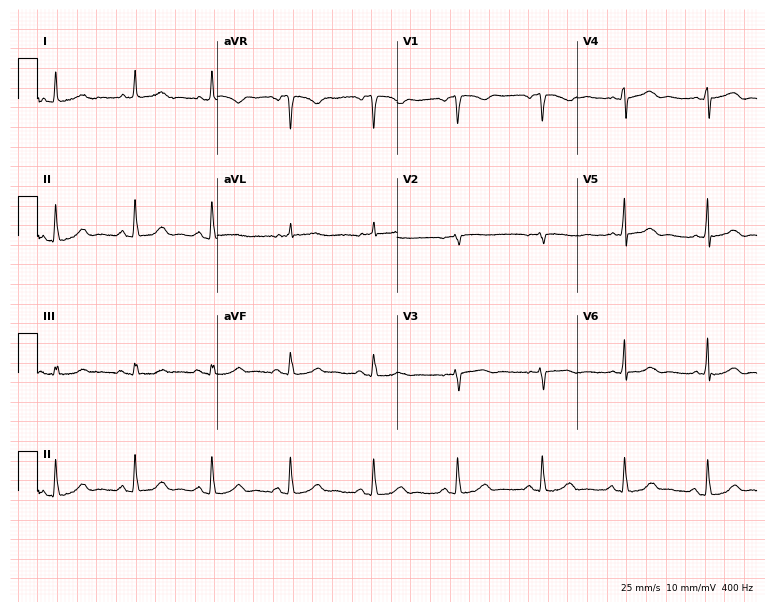
Standard 12-lead ECG recorded from a female, 54 years old. None of these six findings is recorded: first-degree AV block, right bundle branch block, left bundle branch block, sinus bradycardia, atrial fibrillation, sinus tachycardia. Other findings, if any, are not listed.